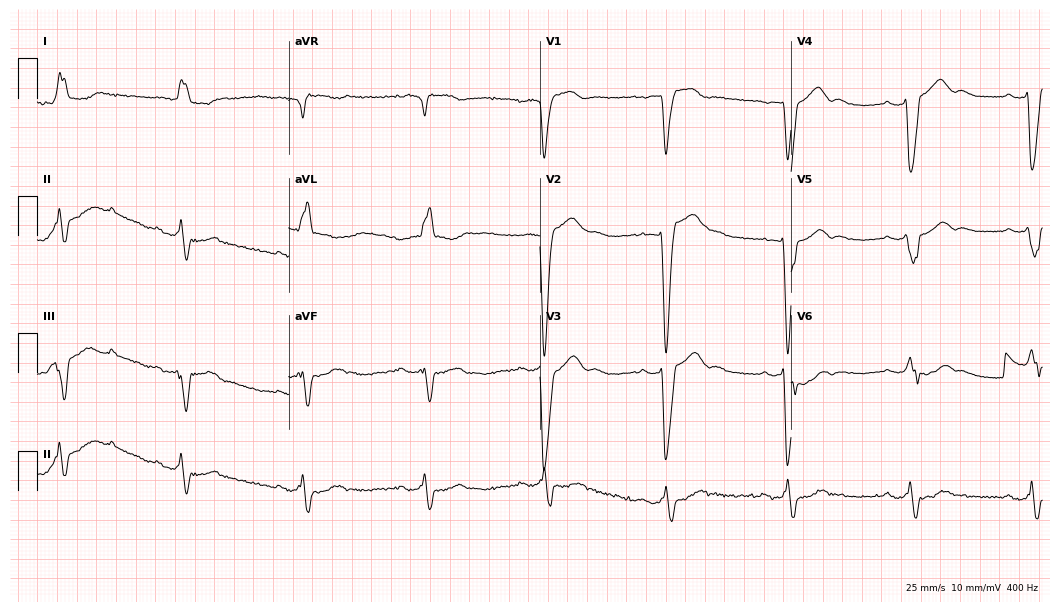
ECG — an 86-year-old female patient. Findings include first-degree AV block, left bundle branch block (LBBB), sinus bradycardia (a sinus rate of 50 beats per minute or less).